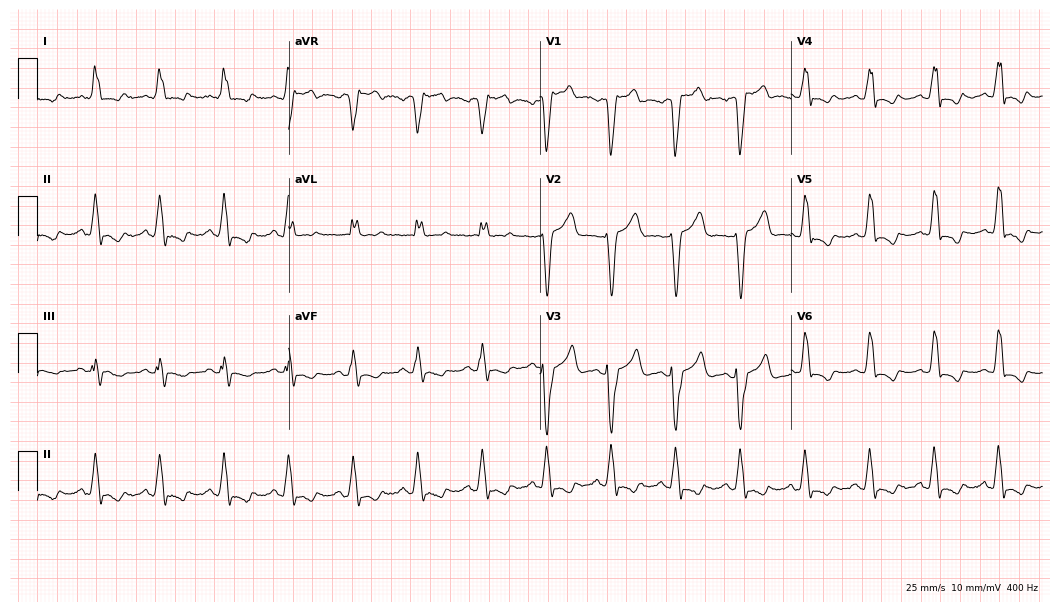
Resting 12-lead electrocardiogram. Patient: a woman, 57 years old. None of these six findings is recorded: first-degree AV block, right bundle branch block, left bundle branch block, sinus bradycardia, atrial fibrillation, sinus tachycardia. Only these six findings were labelled.